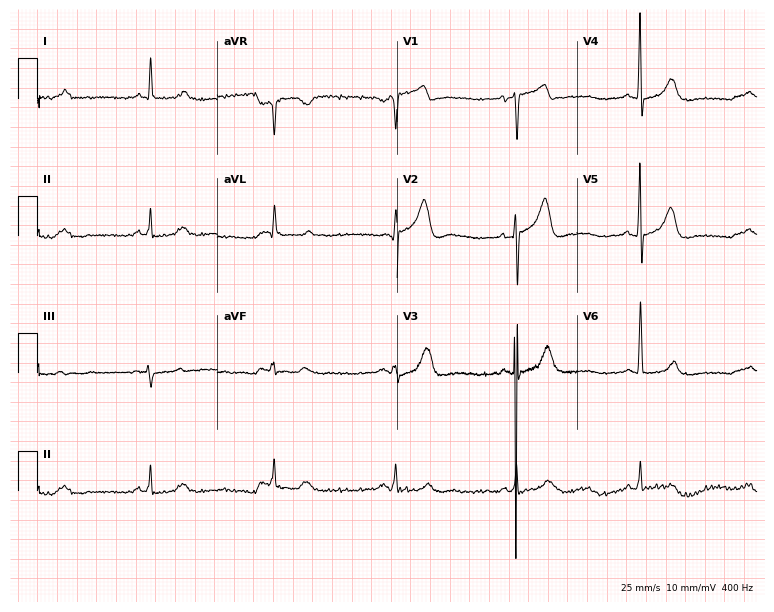
Standard 12-lead ECG recorded from a male, 81 years old (7.3-second recording at 400 Hz). The tracing shows sinus bradycardia (a sinus rate of 50 beats per minute or less).